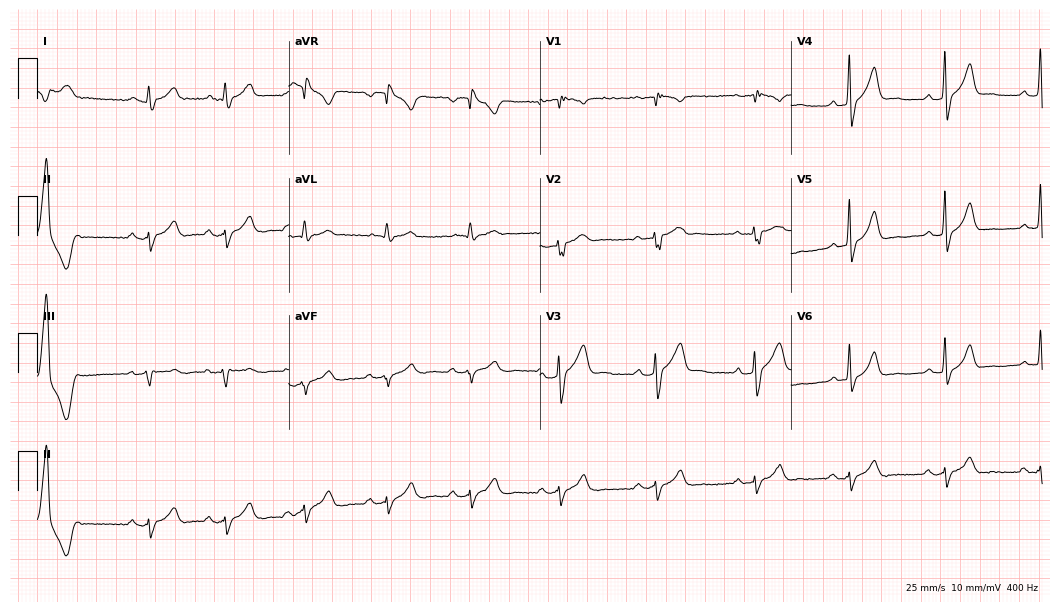
12-lead ECG (10.2-second recording at 400 Hz) from a male, 52 years old. Screened for six findings — first-degree AV block, right bundle branch block, left bundle branch block, sinus bradycardia, atrial fibrillation, sinus tachycardia — none is recorded.